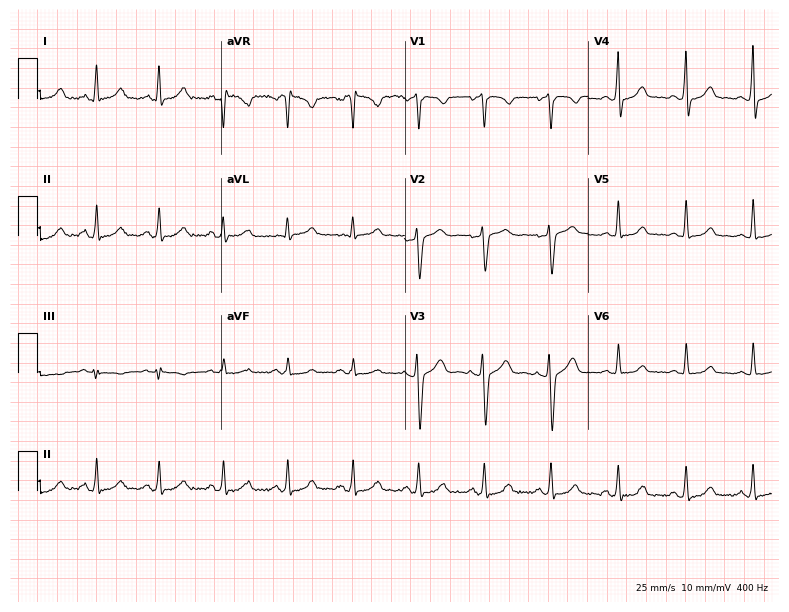
Standard 12-lead ECG recorded from a woman, 31 years old. None of these six findings is recorded: first-degree AV block, right bundle branch block, left bundle branch block, sinus bradycardia, atrial fibrillation, sinus tachycardia. Only these six findings were labelled.